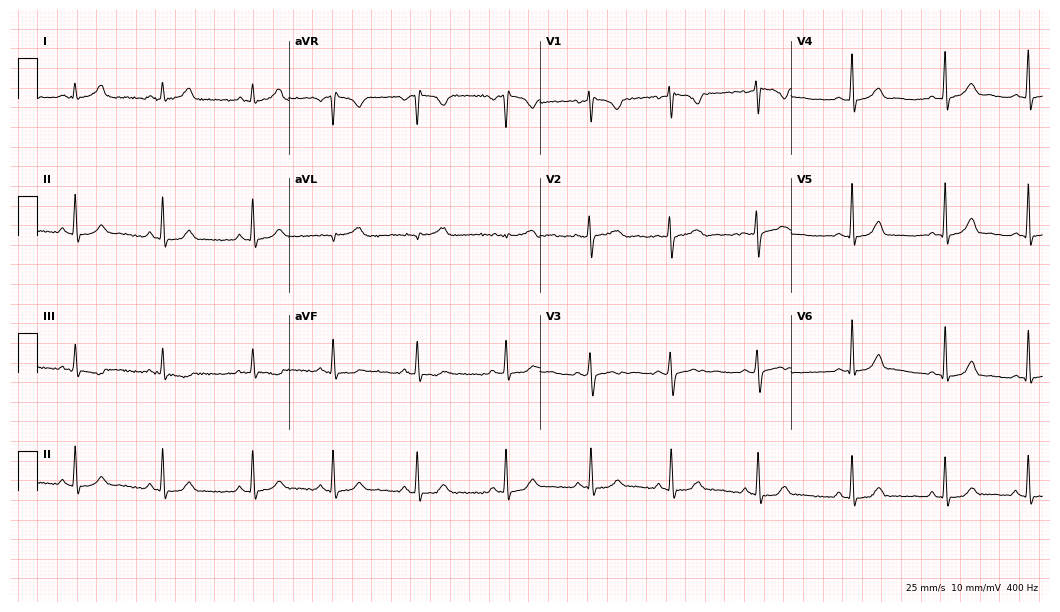
12-lead ECG from a 19-year-old woman (10.2-second recording at 400 Hz). Recorded interpretation: within normal limits.